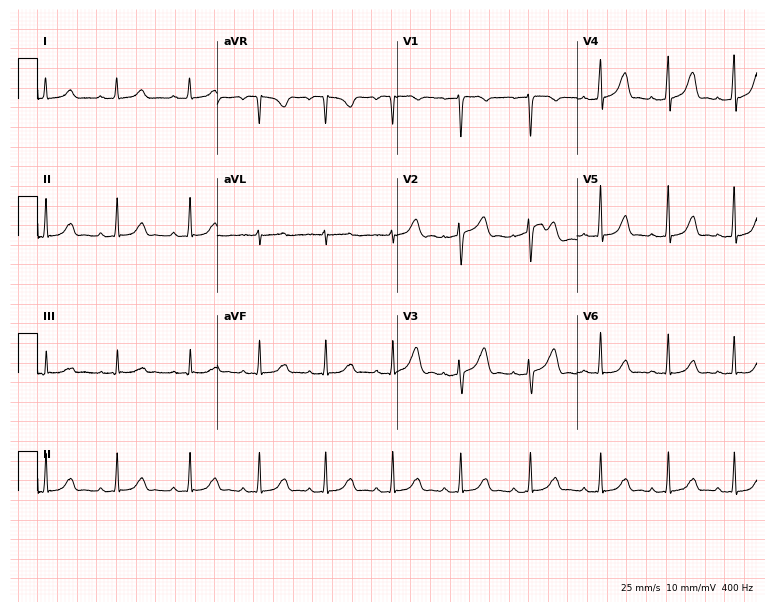
Standard 12-lead ECG recorded from a woman, 37 years old. Read as a normal ECG.